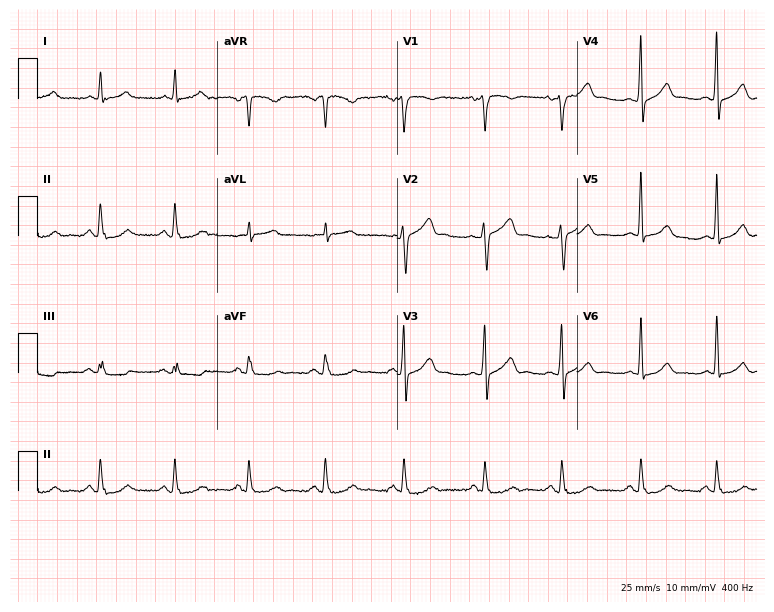
12-lead ECG from a man, 75 years old. No first-degree AV block, right bundle branch block, left bundle branch block, sinus bradycardia, atrial fibrillation or sinus tachycardia recorded for this tracing.